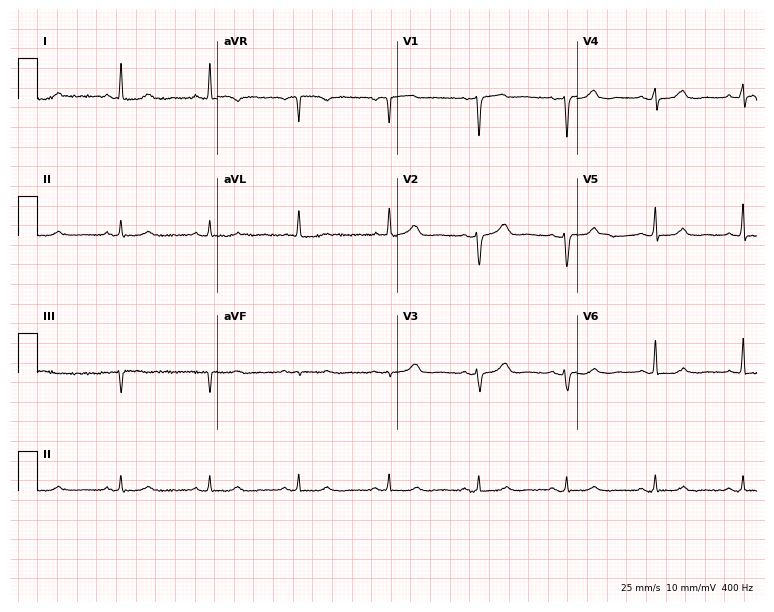
12-lead ECG (7.3-second recording at 400 Hz) from a female patient, 69 years old. Screened for six findings — first-degree AV block, right bundle branch block, left bundle branch block, sinus bradycardia, atrial fibrillation, sinus tachycardia — none is recorded.